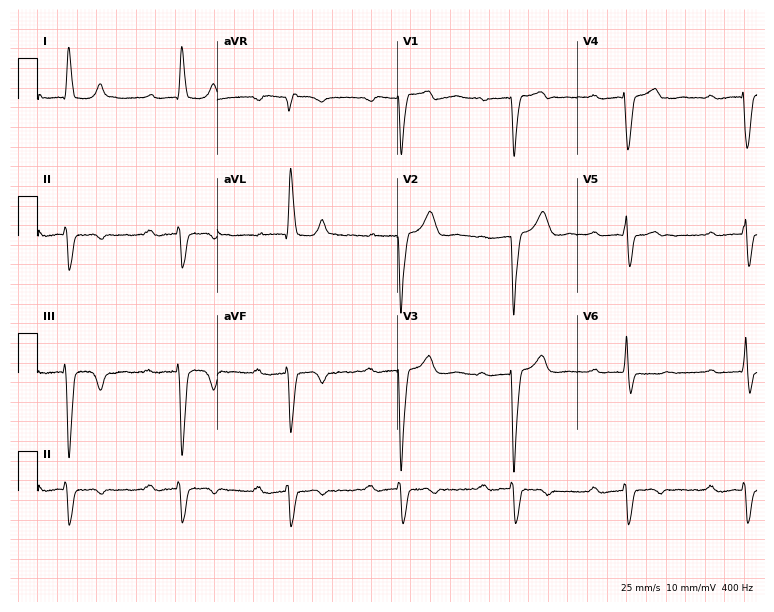
Electrocardiogram, a 70-year-old female. Interpretation includes first-degree AV block.